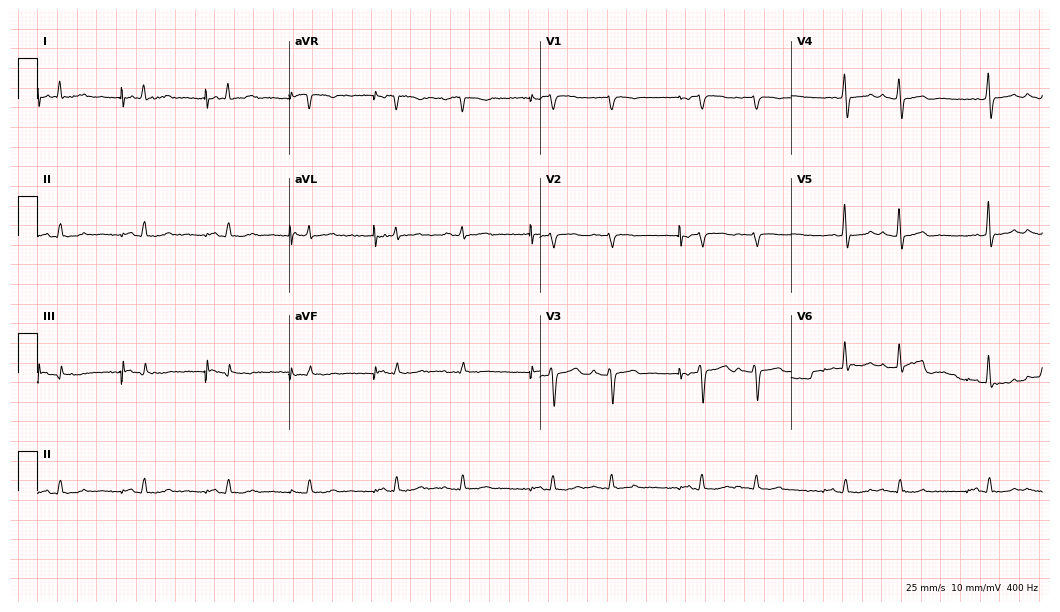
ECG — a male, 49 years old. Screened for six findings — first-degree AV block, right bundle branch block, left bundle branch block, sinus bradycardia, atrial fibrillation, sinus tachycardia — none is recorded. Other findings, if any, are not listed.